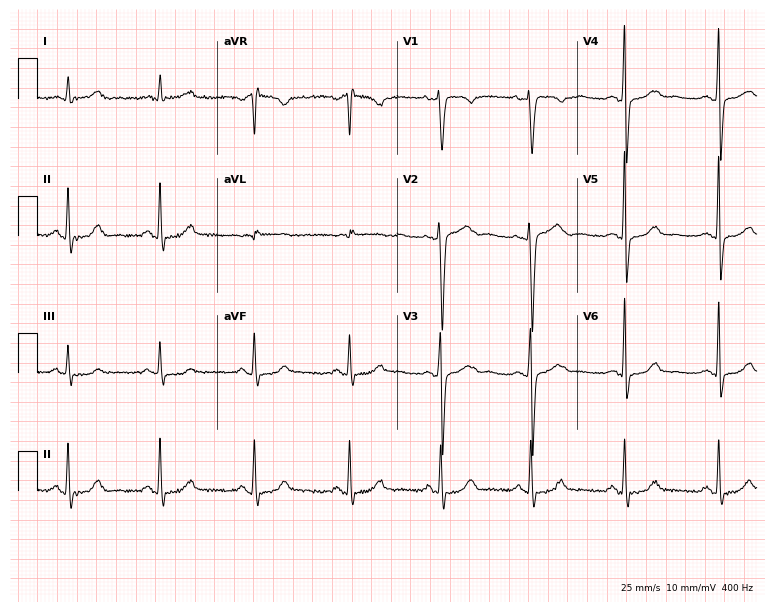
Standard 12-lead ECG recorded from a 50-year-old female (7.3-second recording at 400 Hz). None of these six findings is recorded: first-degree AV block, right bundle branch block, left bundle branch block, sinus bradycardia, atrial fibrillation, sinus tachycardia.